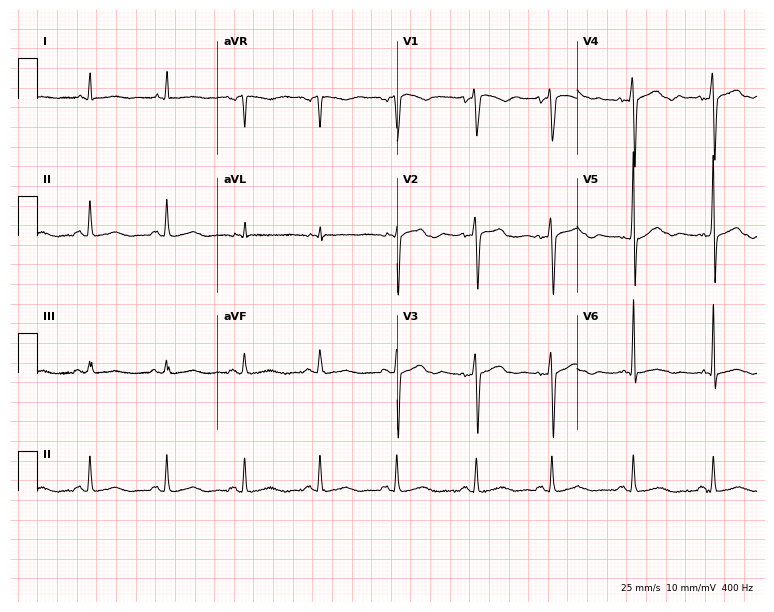
12-lead ECG (7.3-second recording at 400 Hz) from a male patient, 73 years old. Screened for six findings — first-degree AV block, right bundle branch block (RBBB), left bundle branch block (LBBB), sinus bradycardia, atrial fibrillation (AF), sinus tachycardia — none is recorded. Only these six findings were labelled.